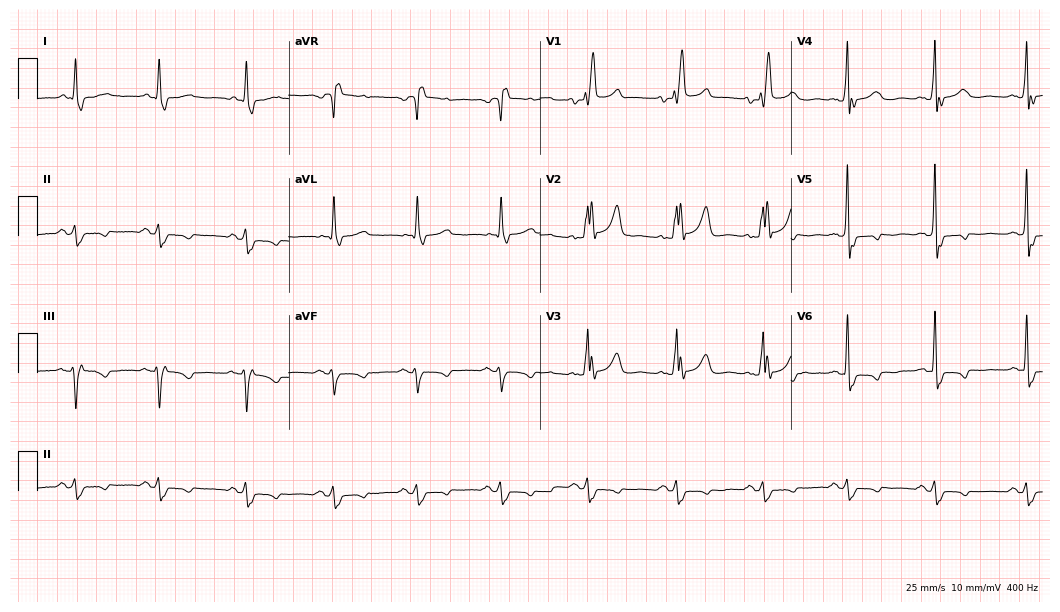
ECG (10.2-second recording at 400 Hz) — a 41-year-old man. Screened for six findings — first-degree AV block, right bundle branch block, left bundle branch block, sinus bradycardia, atrial fibrillation, sinus tachycardia — none is recorded. Findings outside these six are not listed.